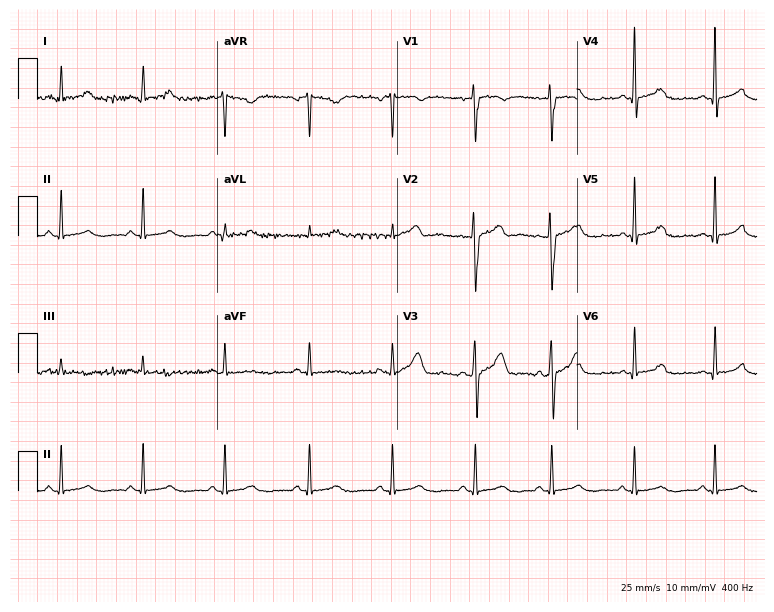
Resting 12-lead electrocardiogram (7.3-second recording at 400 Hz). Patient: a 35-year-old woman. None of these six findings is recorded: first-degree AV block, right bundle branch block (RBBB), left bundle branch block (LBBB), sinus bradycardia, atrial fibrillation (AF), sinus tachycardia. Other findings, if any, are not listed.